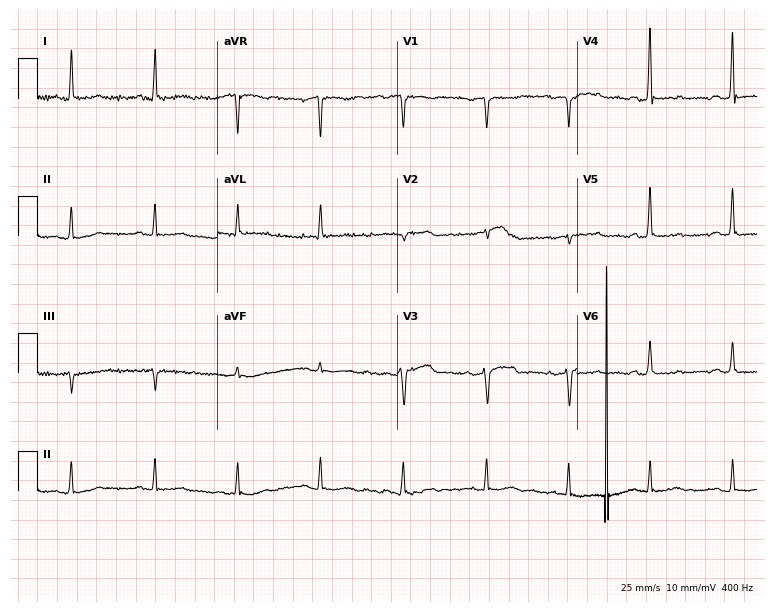
12-lead ECG (7.3-second recording at 400 Hz) from a 66-year-old male. Screened for six findings — first-degree AV block, right bundle branch block, left bundle branch block, sinus bradycardia, atrial fibrillation, sinus tachycardia — none is recorded.